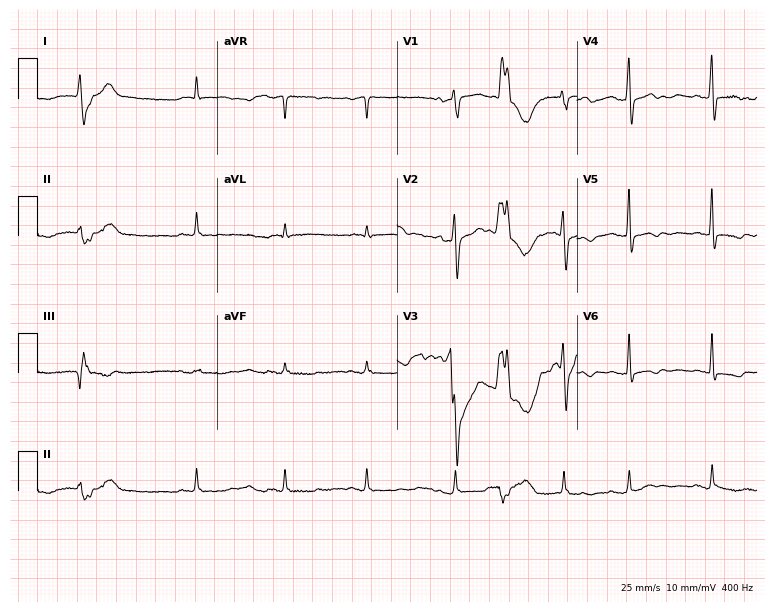
Electrocardiogram, a 77-year-old female. Overall reading on record: normal ECG.